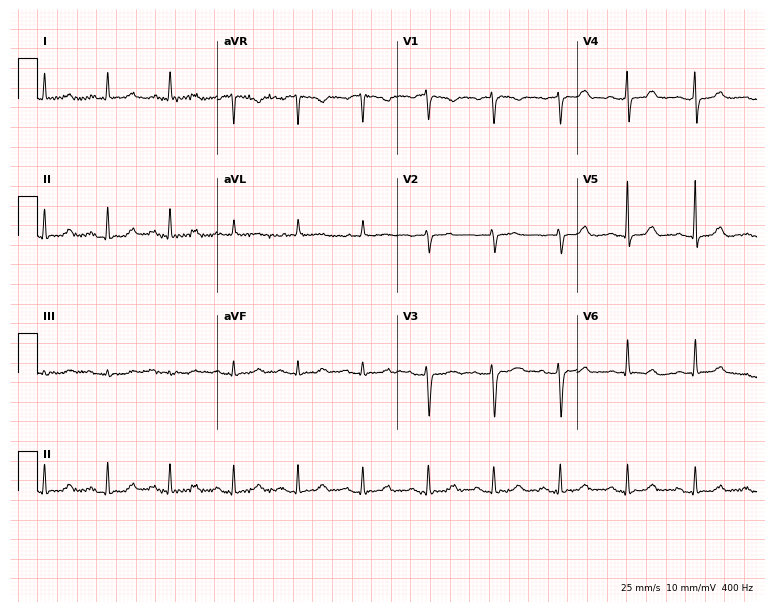
Electrocardiogram, a 75-year-old female. Overall reading on record: normal ECG.